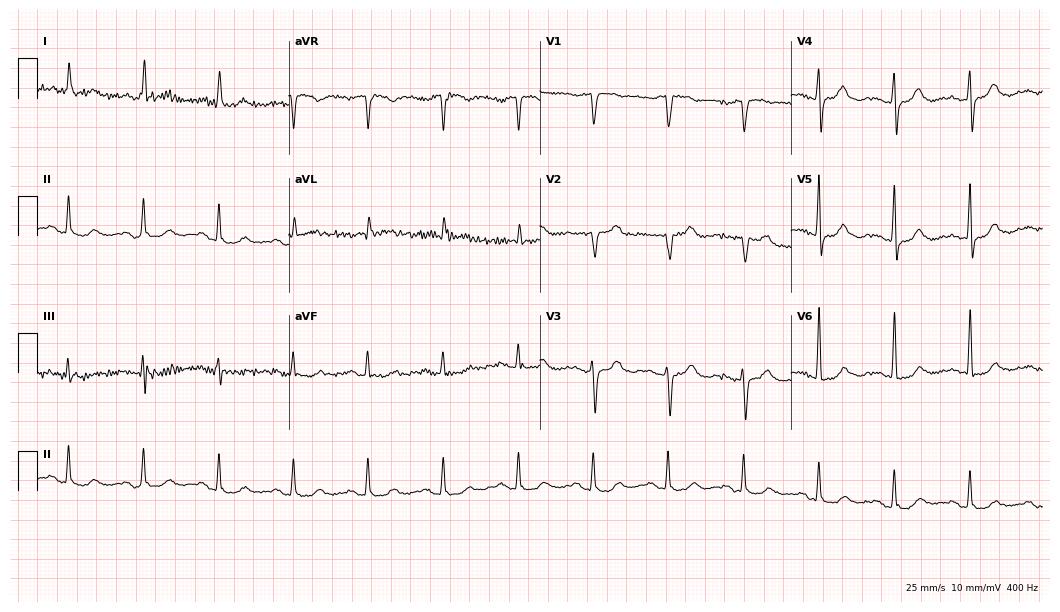
ECG (10.2-second recording at 400 Hz) — a woman, 83 years old. Screened for six findings — first-degree AV block, right bundle branch block (RBBB), left bundle branch block (LBBB), sinus bradycardia, atrial fibrillation (AF), sinus tachycardia — none is recorded. Findings outside these six are not listed.